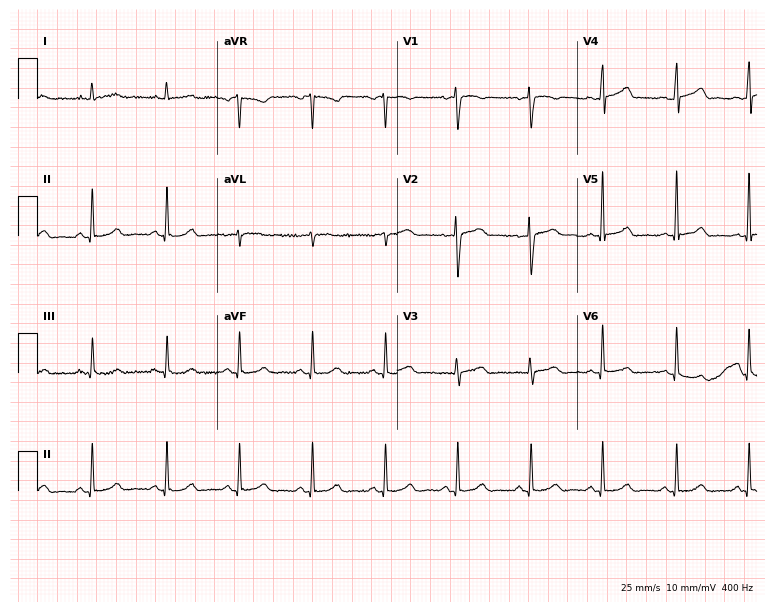
12-lead ECG from a female, 50 years old. Recorded interpretation: within normal limits.